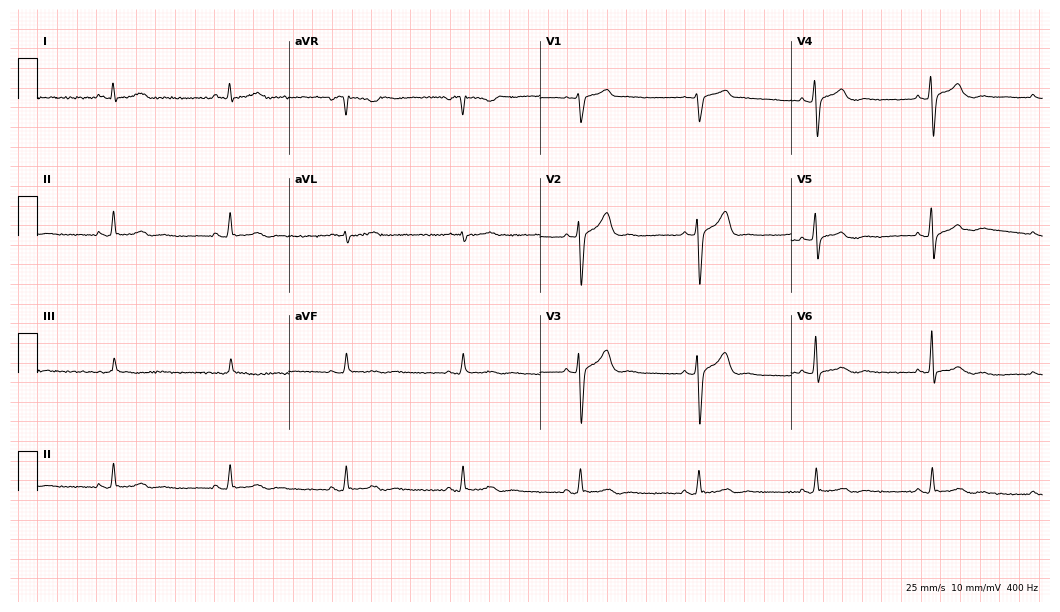
Standard 12-lead ECG recorded from a 67-year-old male patient. None of these six findings is recorded: first-degree AV block, right bundle branch block, left bundle branch block, sinus bradycardia, atrial fibrillation, sinus tachycardia.